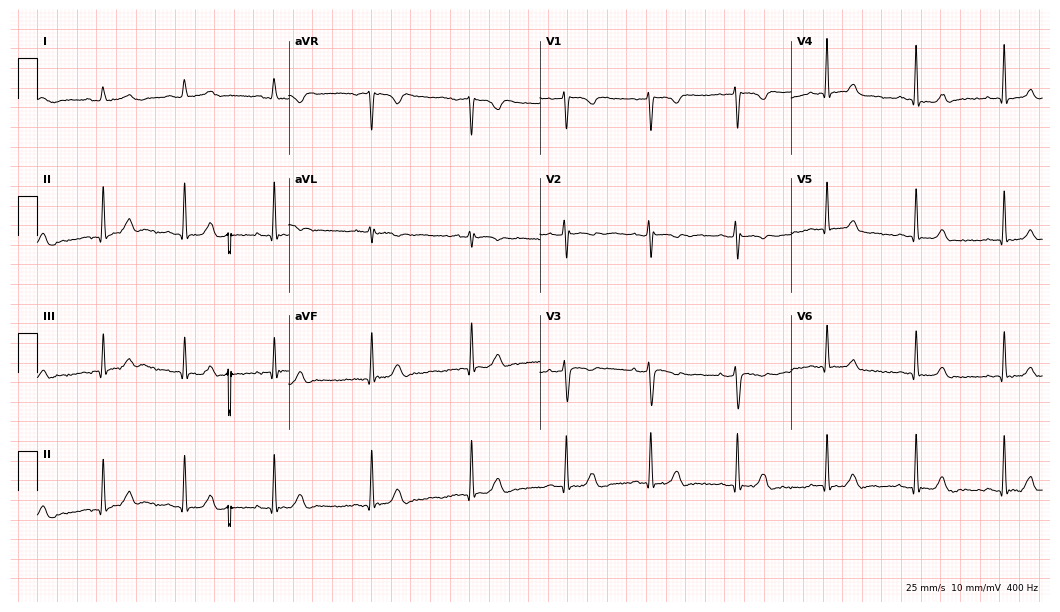
12-lead ECG from a woman, 23 years old. Recorded interpretation: within normal limits.